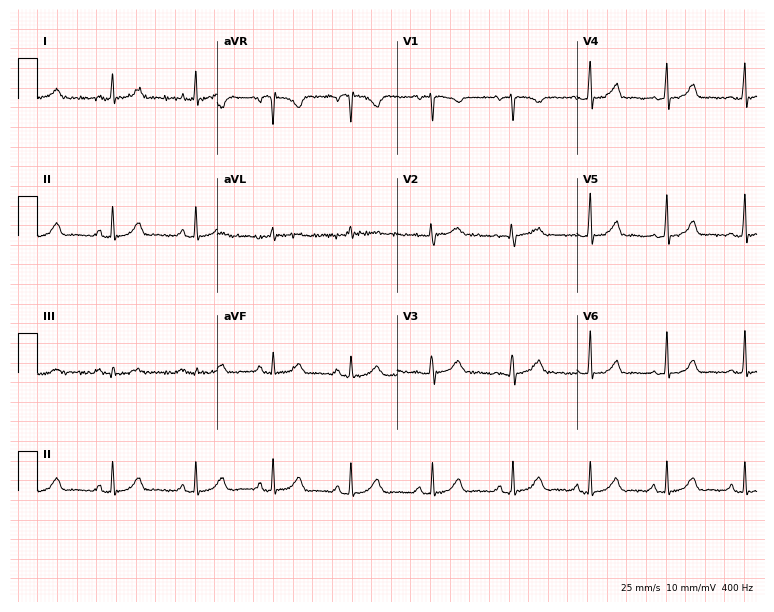
ECG — a female, 45 years old. Labelled as a normal ECG.